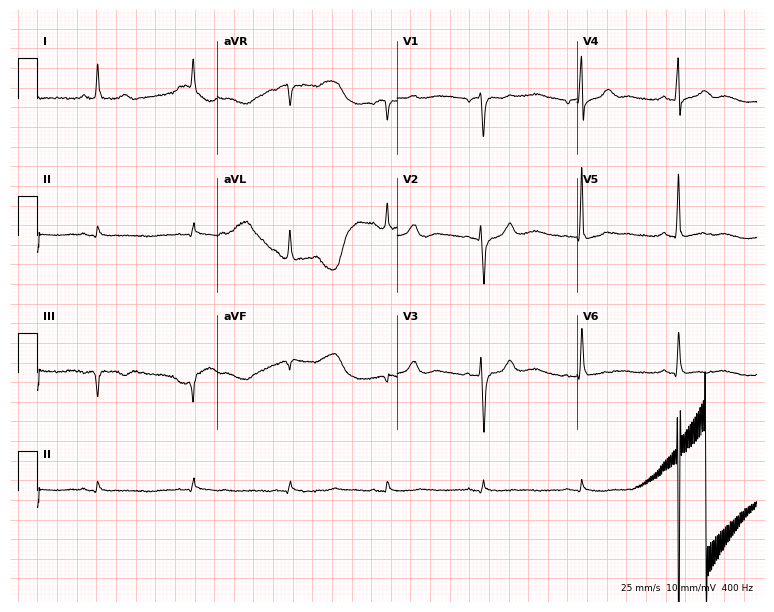
Standard 12-lead ECG recorded from a male patient, 78 years old (7.3-second recording at 400 Hz). None of these six findings is recorded: first-degree AV block, right bundle branch block, left bundle branch block, sinus bradycardia, atrial fibrillation, sinus tachycardia. Only these six findings were labelled.